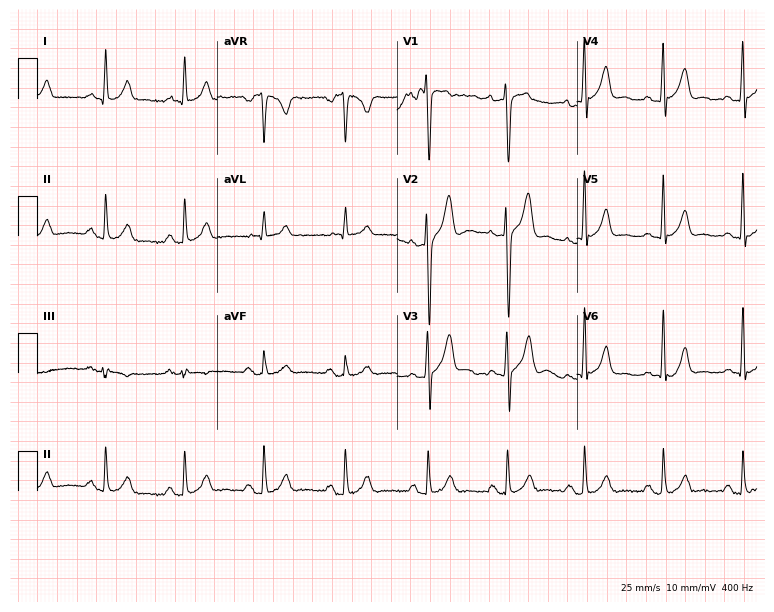
12-lead ECG from a male, 27 years old. No first-degree AV block, right bundle branch block (RBBB), left bundle branch block (LBBB), sinus bradycardia, atrial fibrillation (AF) or sinus tachycardia recorded for this tracing. Only these six findings were labelled.